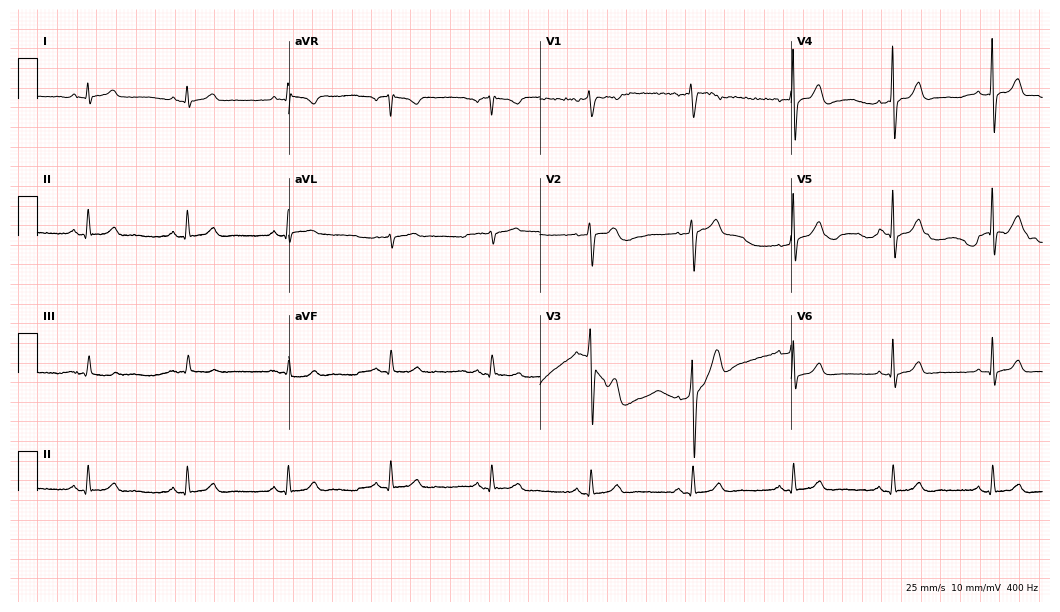
12-lead ECG from a male patient, 47 years old. Screened for six findings — first-degree AV block, right bundle branch block, left bundle branch block, sinus bradycardia, atrial fibrillation, sinus tachycardia — none is recorded.